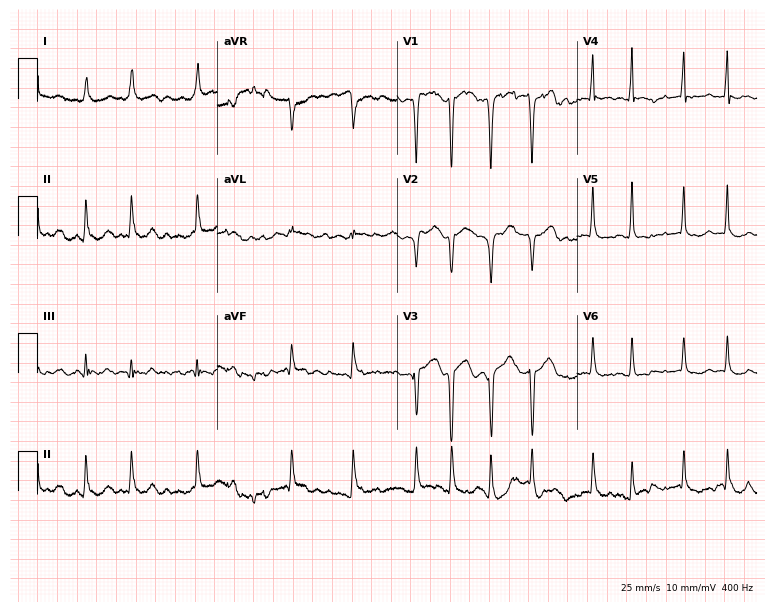
Electrocardiogram (7.3-second recording at 400 Hz), a 70-year-old male. Interpretation includes atrial fibrillation (AF).